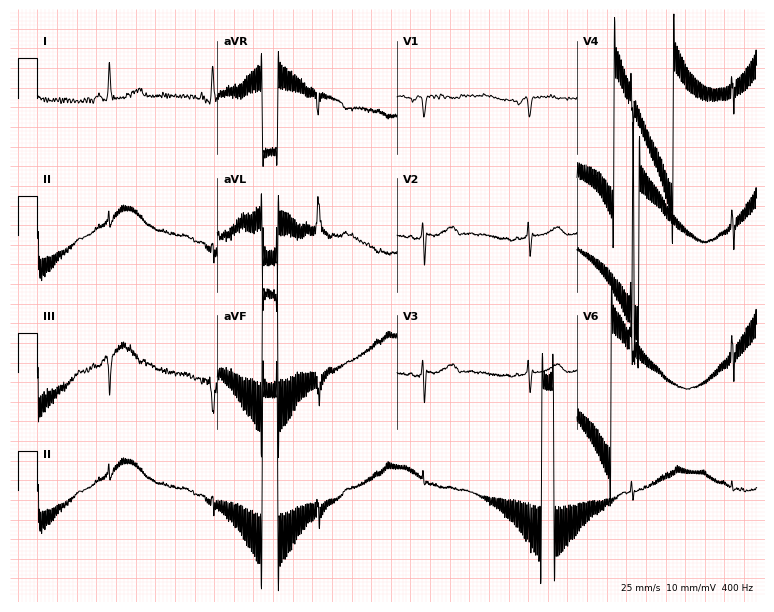
12-lead ECG from a woman, 68 years old (7.3-second recording at 400 Hz). No first-degree AV block, right bundle branch block, left bundle branch block, sinus bradycardia, atrial fibrillation or sinus tachycardia recorded for this tracing. Other findings, if any, are not listed.